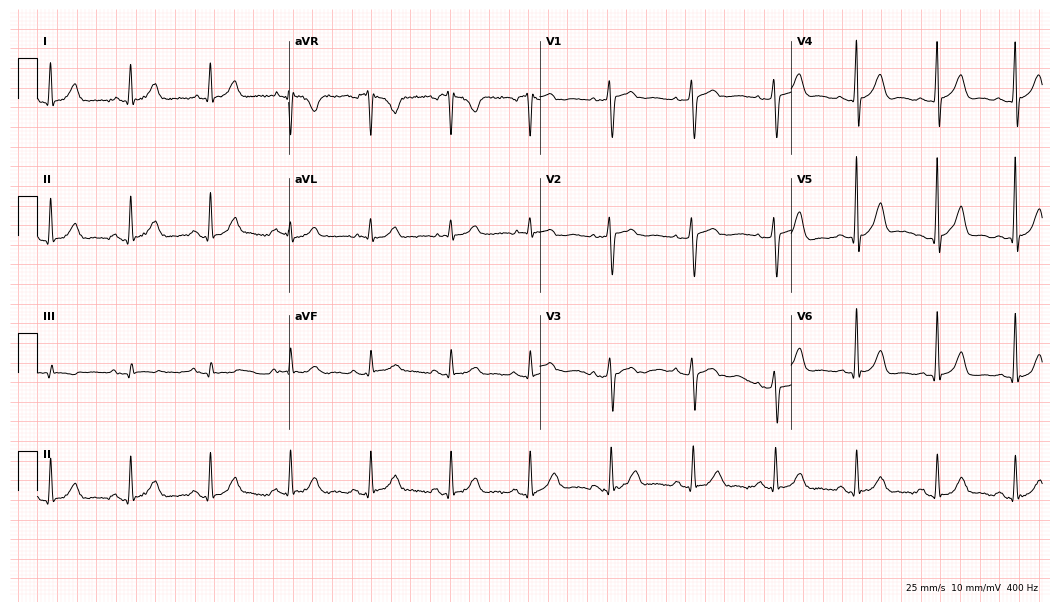
Resting 12-lead electrocardiogram. Patient: a 64-year-old male. Read as a normal ECG.